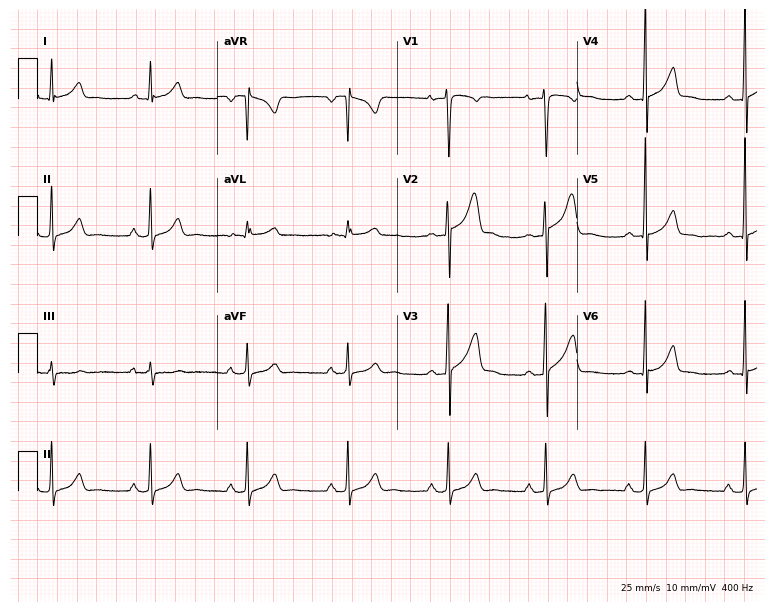
12-lead ECG from a male, 23 years old. Screened for six findings — first-degree AV block, right bundle branch block, left bundle branch block, sinus bradycardia, atrial fibrillation, sinus tachycardia — none is recorded. Findings outside these six are not listed.